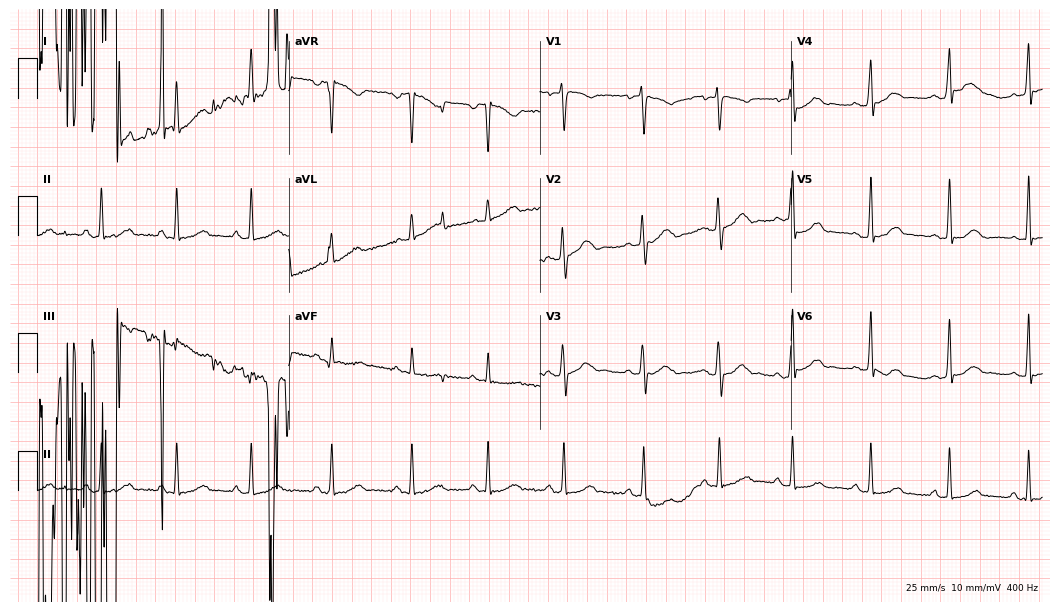
Electrocardiogram (10.2-second recording at 400 Hz), a woman, 23 years old. Of the six screened findings (first-degree AV block, right bundle branch block (RBBB), left bundle branch block (LBBB), sinus bradycardia, atrial fibrillation (AF), sinus tachycardia), none is recorded. Findings outside these six are not listed.